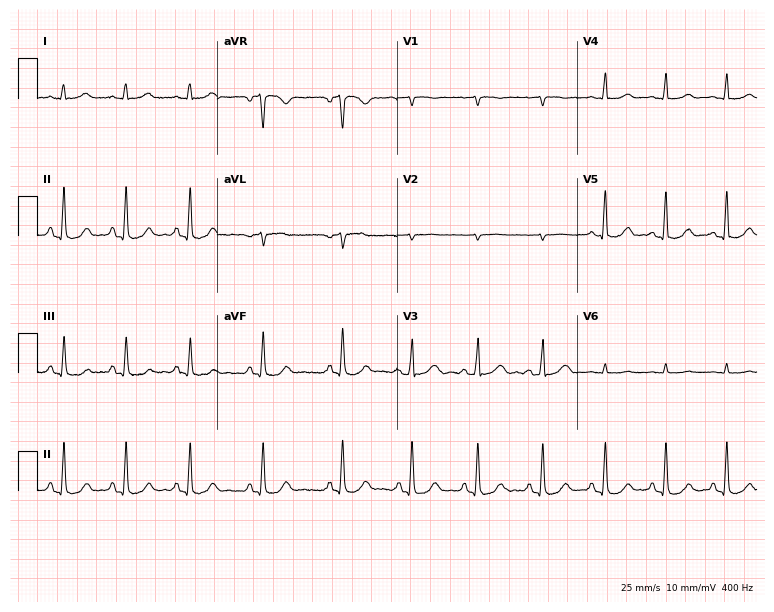
12-lead ECG from a 39-year-old female. Screened for six findings — first-degree AV block, right bundle branch block, left bundle branch block, sinus bradycardia, atrial fibrillation, sinus tachycardia — none is recorded. Findings outside these six are not listed.